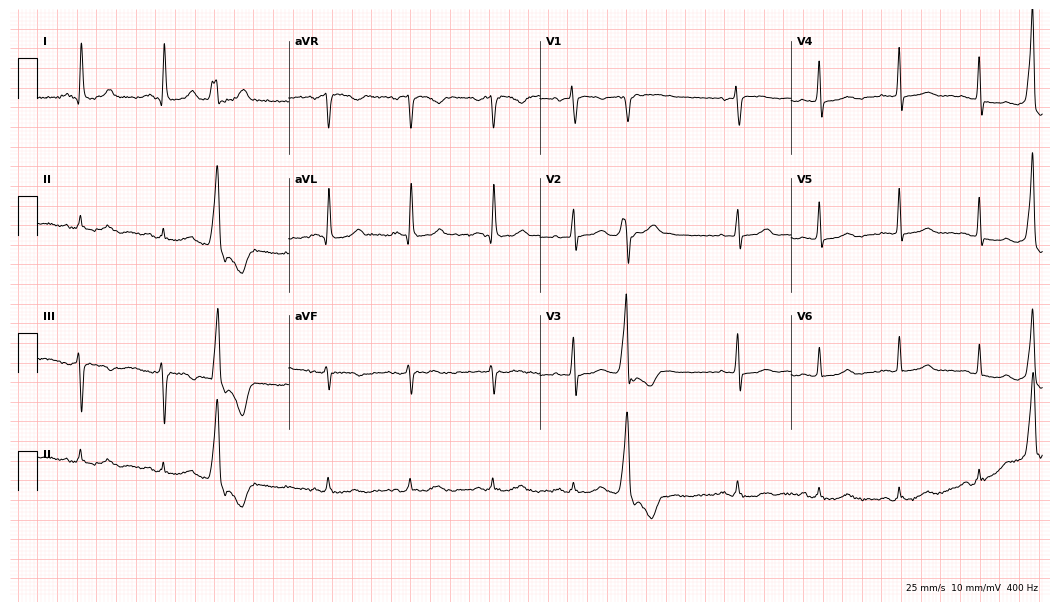
Standard 12-lead ECG recorded from a woman, 68 years old. None of these six findings is recorded: first-degree AV block, right bundle branch block, left bundle branch block, sinus bradycardia, atrial fibrillation, sinus tachycardia. Only these six findings were labelled.